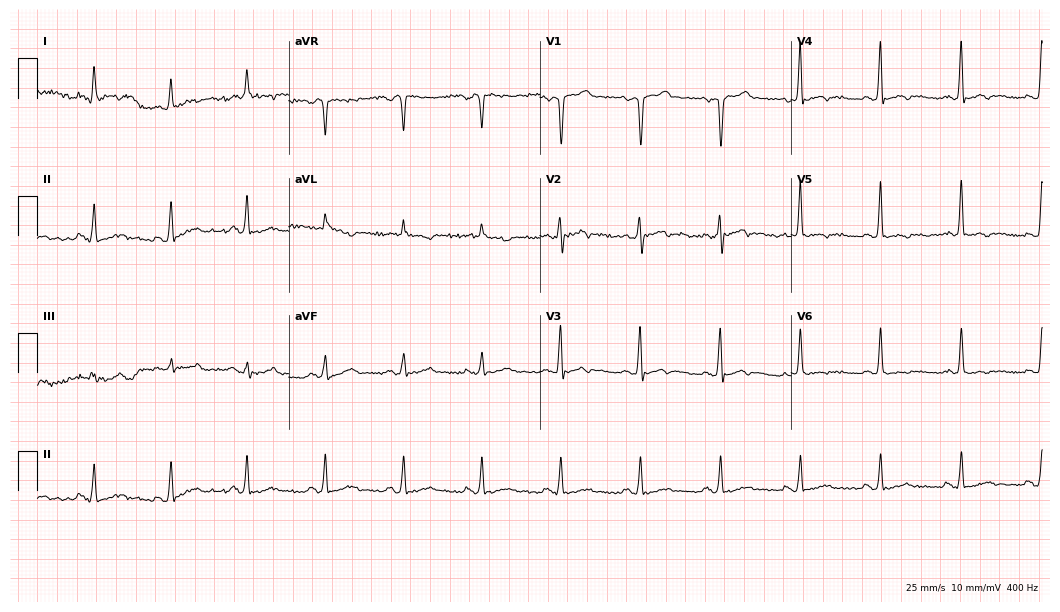
Standard 12-lead ECG recorded from a 47-year-old male patient (10.2-second recording at 400 Hz). None of these six findings is recorded: first-degree AV block, right bundle branch block, left bundle branch block, sinus bradycardia, atrial fibrillation, sinus tachycardia. Findings outside these six are not listed.